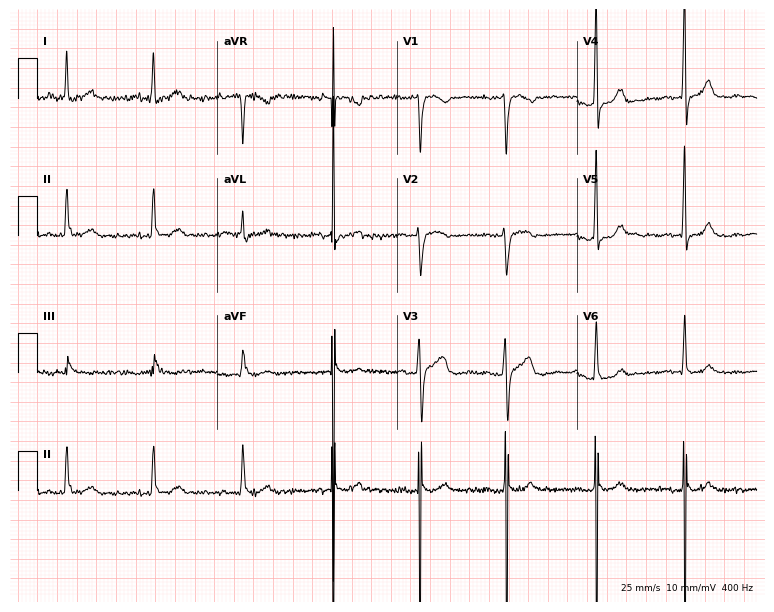
12-lead ECG from a 37-year-old female (7.3-second recording at 400 Hz). No first-degree AV block, right bundle branch block (RBBB), left bundle branch block (LBBB), sinus bradycardia, atrial fibrillation (AF) or sinus tachycardia recorded for this tracing.